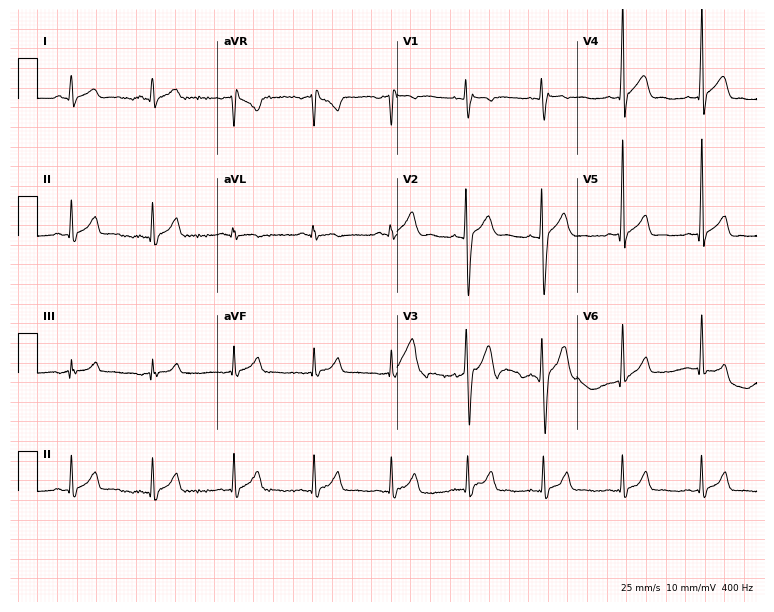
Standard 12-lead ECG recorded from a 20-year-old male. Read as a normal ECG.